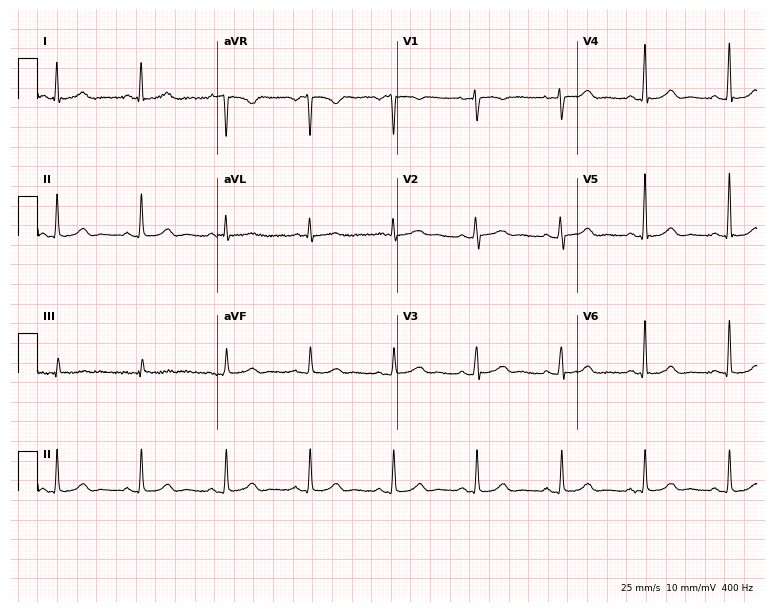
Resting 12-lead electrocardiogram (7.3-second recording at 400 Hz). Patient: a woman, 52 years old. Read as a normal ECG.